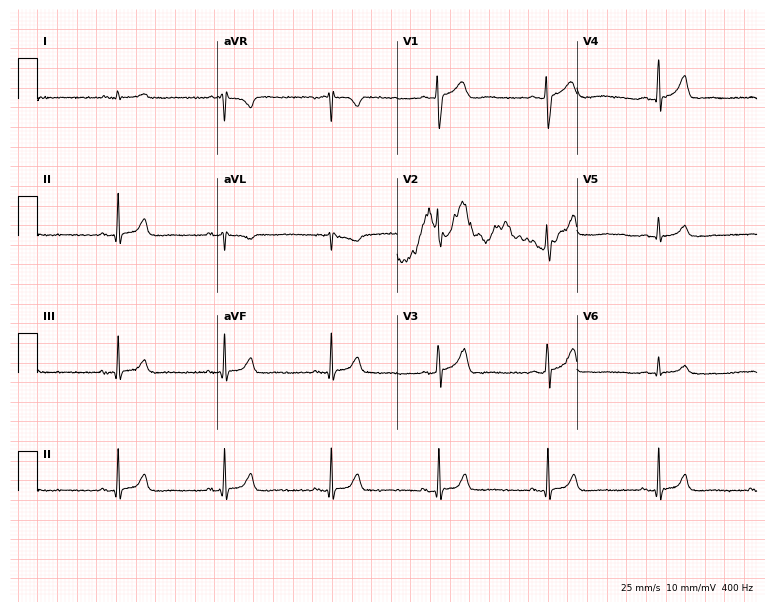
Electrocardiogram (7.3-second recording at 400 Hz), a 37-year-old man. Overall reading on record: normal ECG.